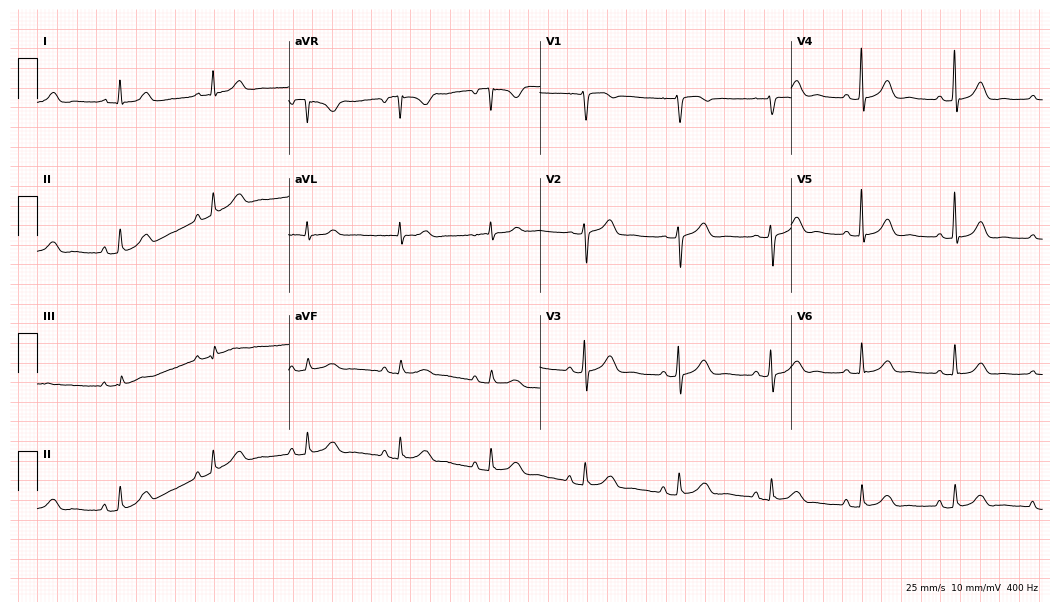
12-lead ECG from a 66-year-old female (10.2-second recording at 400 Hz). No first-degree AV block, right bundle branch block, left bundle branch block, sinus bradycardia, atrial fibrillation or sinus tachycardia recorded for this tracing. Other findings, if any, are not listed.